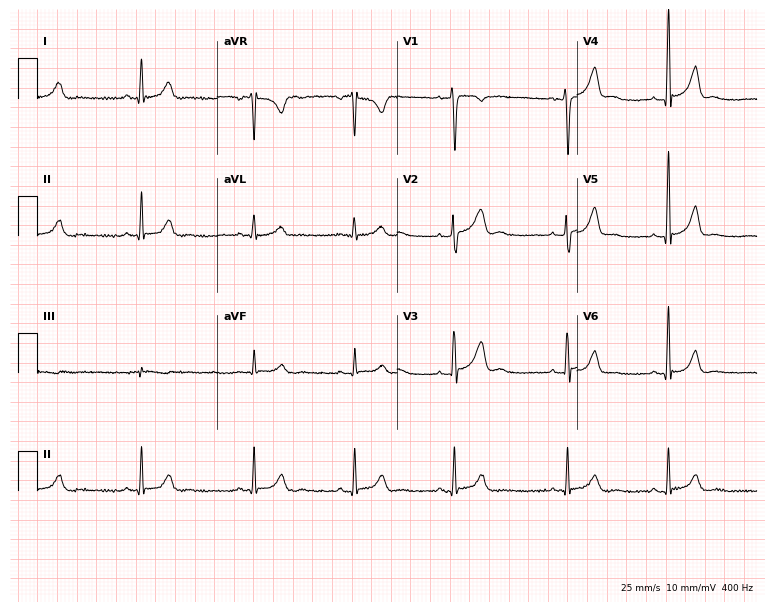
Electrocardiogram (7.3-second recording at 400 Hz), a 23-year-old woman. Of the six screened findings (first-degree AV block, right bundle branch block, left bundle branch block, sinus bradycardia, atrial fibrillation, sinus tachycardia), none is recorded. Other findings, if any, are not listed.